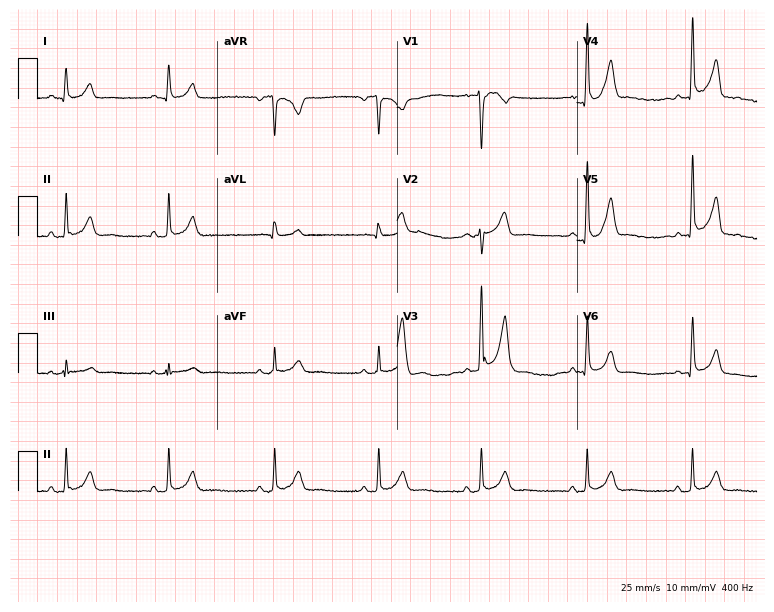
Resting 12-lead electrocardiogram (7.3-second recording at 400 Hz). Patient: a man, 38 years old. None of these six findings is recorded: first-degree AV block, right bundle branch block, left bundle branch block, sinus bradycardia, atrial fibrillation, sinus tachycardia. Findings outside these six are not listed.